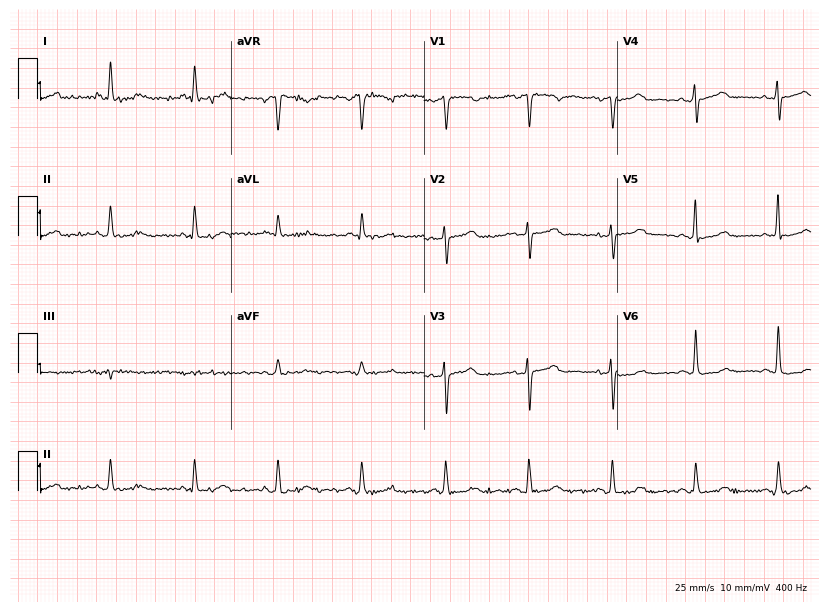
12-lead ECG from an 80-year-old female patient. Screened for six findings — first-degree AV block, right bundle branch block, left bundle branch block, sinus bradycardia, atrial fibrillation, sinus tachycardia — none is recorded.